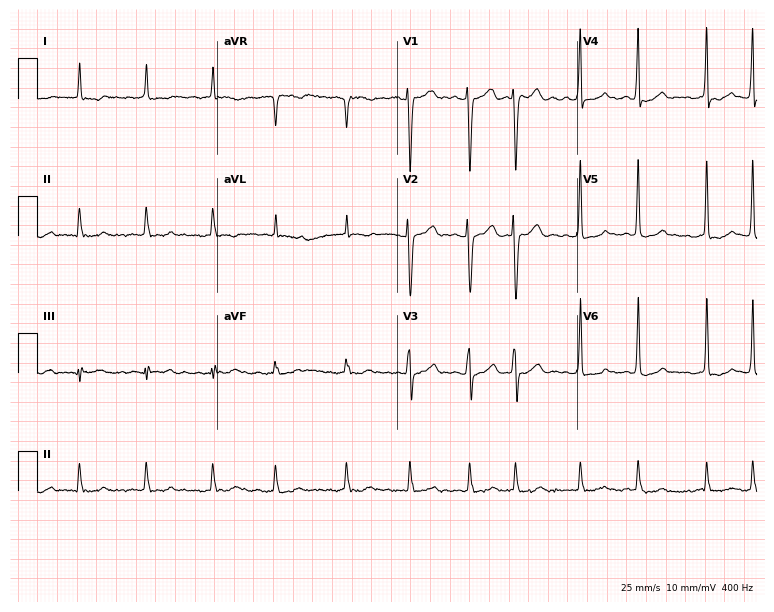
12-lead ECG from a female, 81 years old. Shows atrial fibrillation.